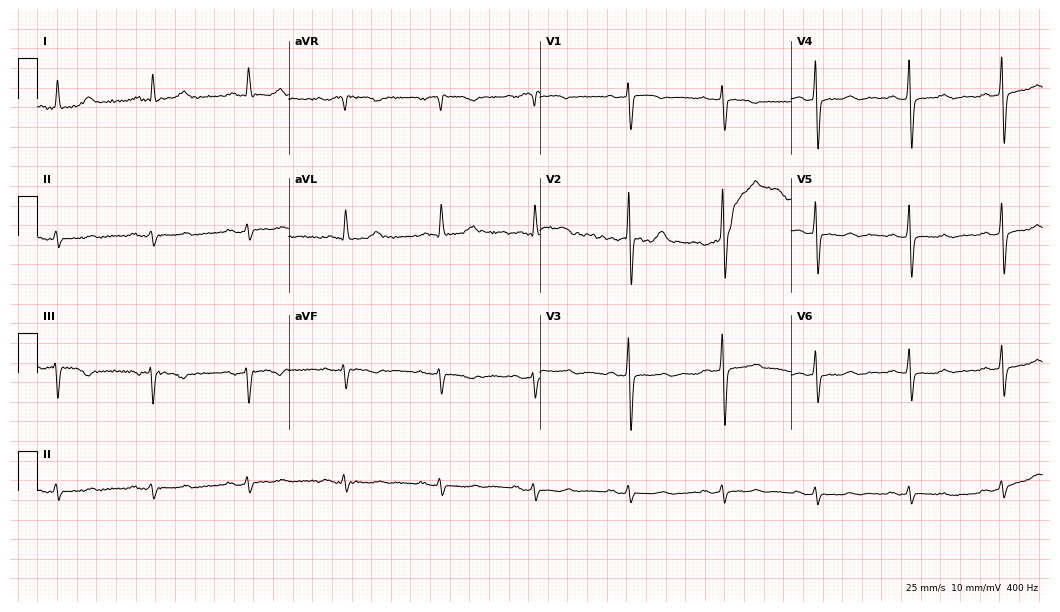
12-lead ECG from an 85-year-old female patient. No first-degree AV block, right bundle branch block (RBBB), left bundle branch block (LBBB), sinus bradycardia, atrial fibrillation (AF) or sinus tachycardia recorded for this tracing.